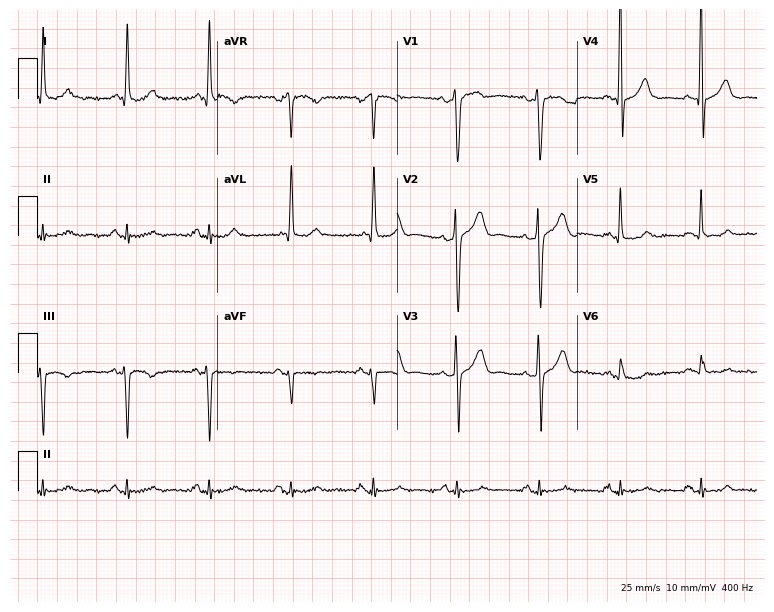
Standard 12-lead ECG recorded from a 66-year-old male patient (7.3-second recording at 400 Hz). Read as a normal ECG.